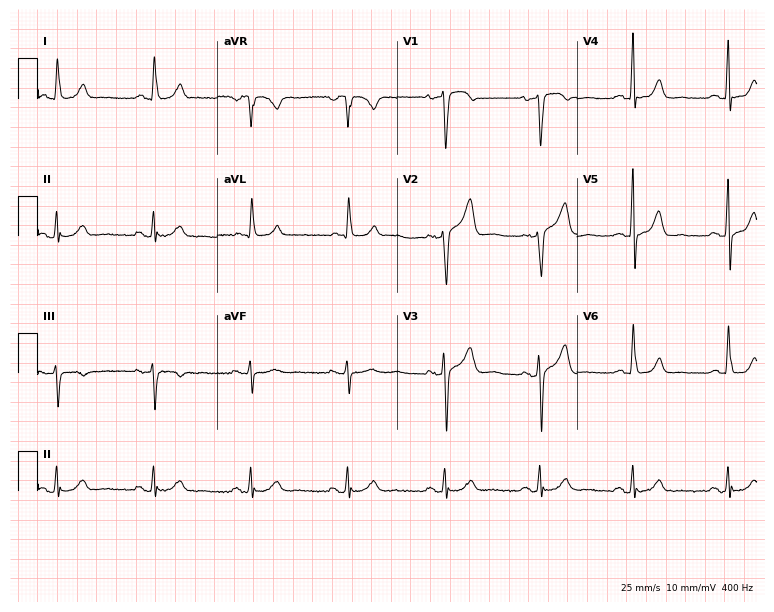
Electrocardiogram, a woman, 59 years old. Of the six screened findings (first-degree AV block, right bundle branch block (RBBB), left bundle branch block (LBBB), sinus bradycardia, atrial fibrillation (AF), sinus tachycardia), none is recorded.